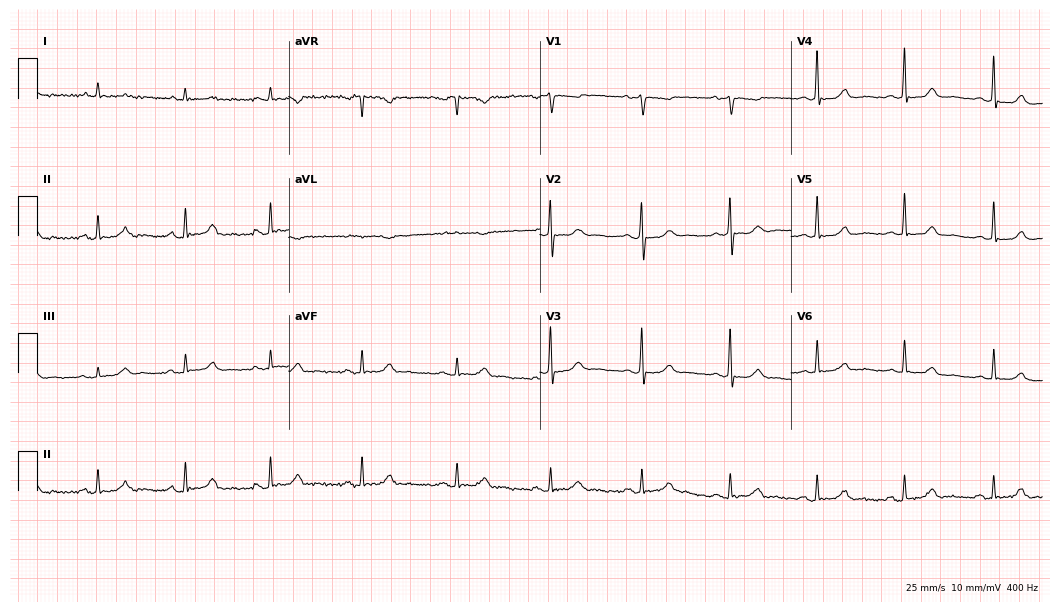
12-lead ECG from a female, 51 years old. Recorded interpretation: within normal limits.